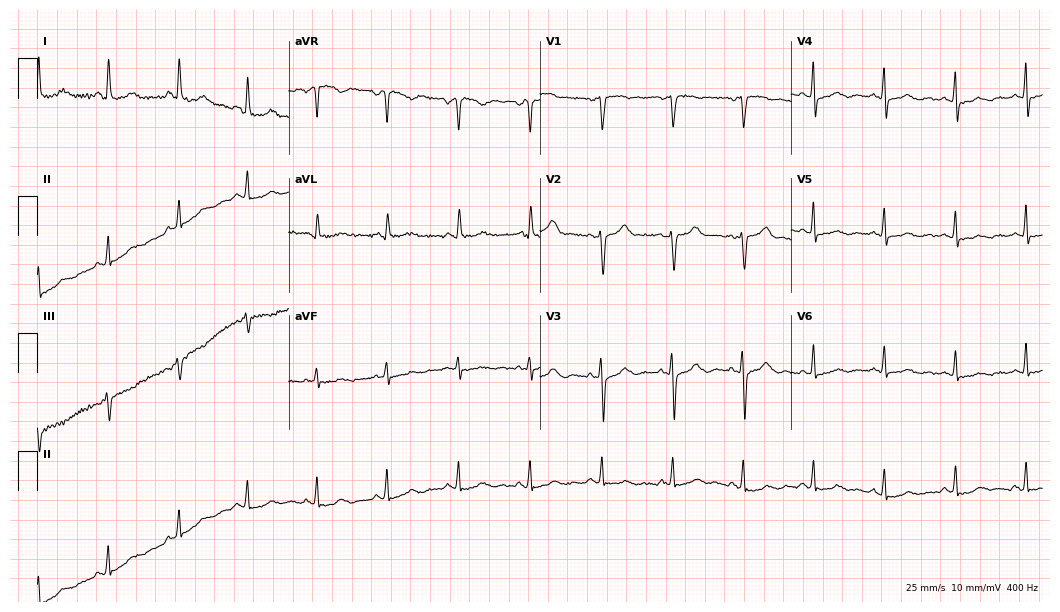
12-lead ECG from a female, 65 years old (10.2-second recording at 400 Hz). Recorded interpretation: within normal limits.